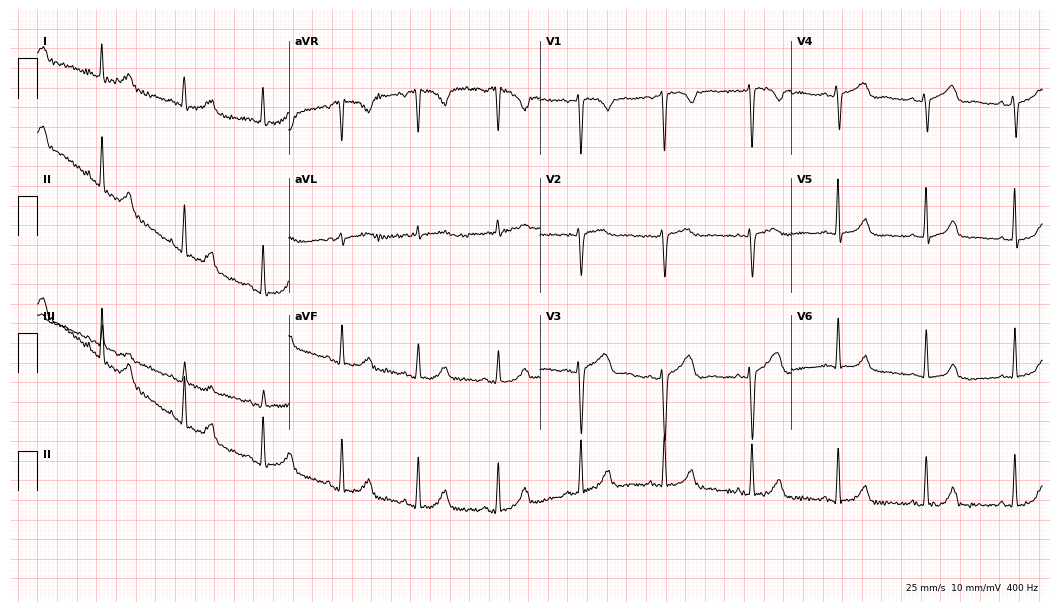
Electrocardiogram (10.2-second recording at 400 Hz), a female, 41 years old. Overall reading on record: normal ECG.